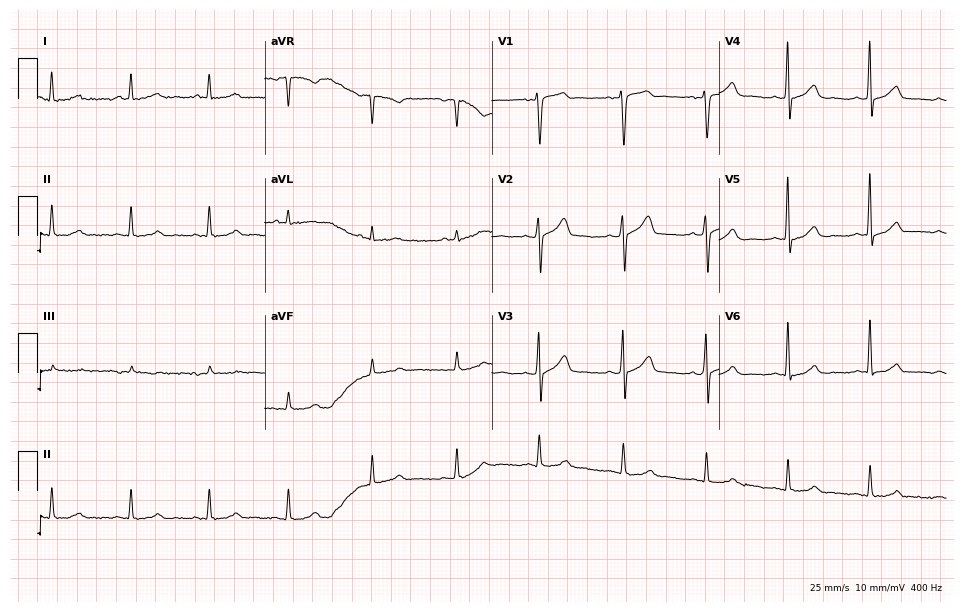
ECG — a male, 58 years old. Screened for six findings — first-degree AV block, right bundle branch block (RBBB), left bundle branch block (LBBB), sinus bradycardia, atrial fibrillation (AF), sinus tachycardia — none is recorded. Other findings, if any, are not listed.